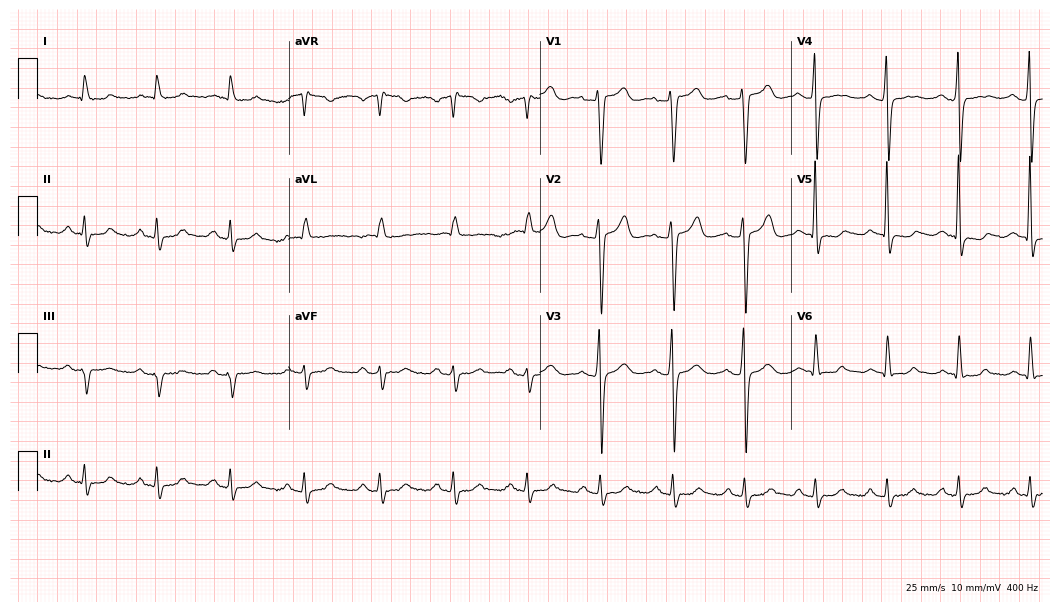
12-lead ECG (10.2-second recording at 400 Hz) from a 71-year-old male. Screened for six findings — first-degree AV block, right bundle branch block, left bundle branch block, sinus bradycardia, atrial fibrillation, sinus tachycardia — none is recorded.